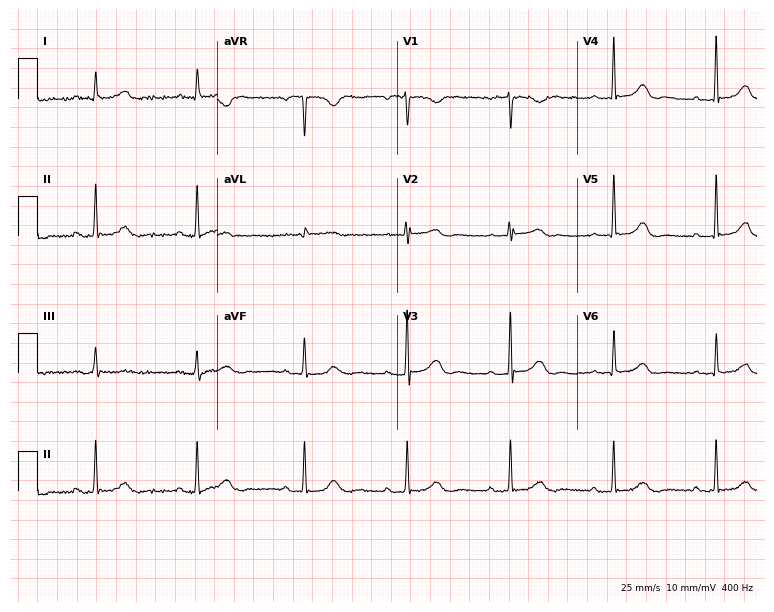
Standard 12-lead ECG recorded from a 46-year-old woman. Read as a normal ECG.